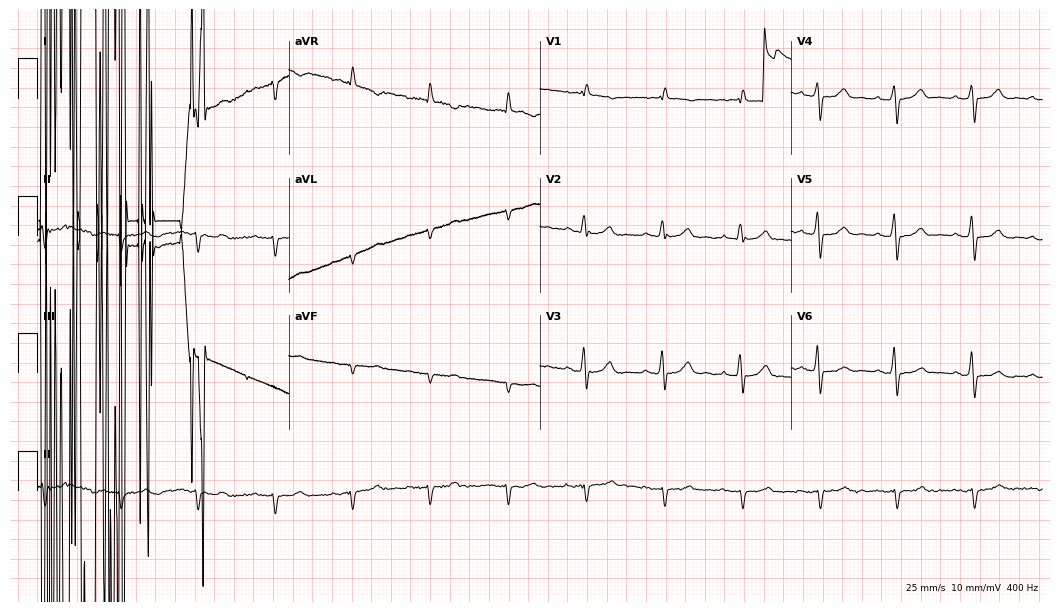
12-lead ECG from a 62-year-old man. No first-degree AV block, right bundle branch block (RBBB), left bundle branch block (LBBB), sinus bradycardia, atrial fibrillation (AF) or sinus tachycardia recorded for this tracing. Other findings, if any, are not listed.